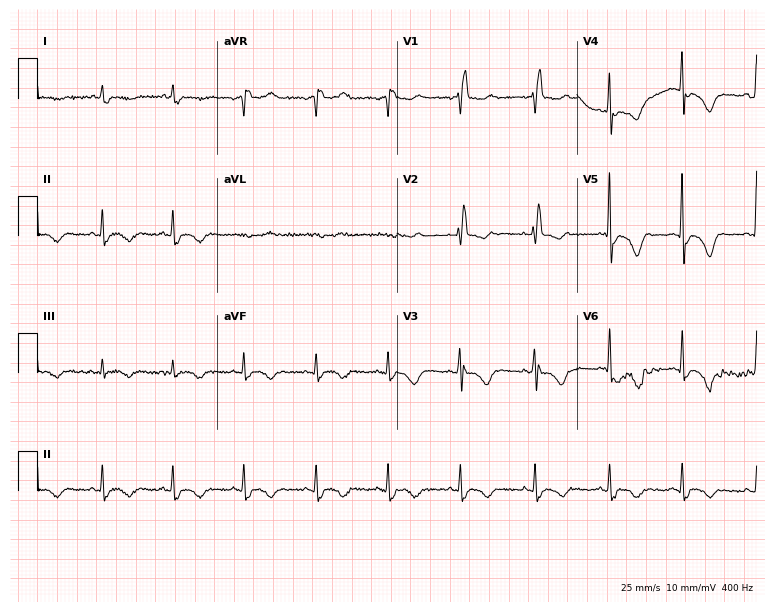
ECG — a female patient, 76 years old. Screened for six findings — first-degree AV block, right bundle branch block, left bundle branch block, sinus bradycardia, atrial fibrillation, sinus tachycardia — none is recorded. Findings outside these six are not listed.